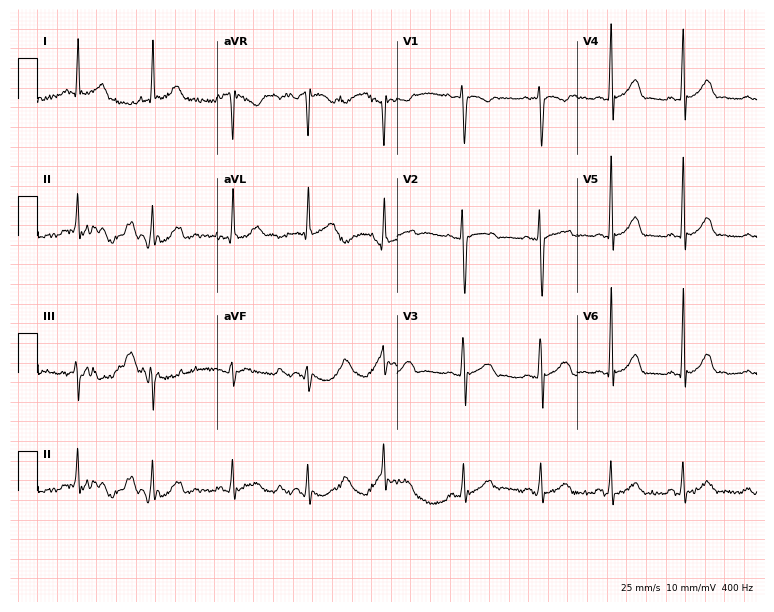
12-lead ECG from a female, 31 years old. Recorded interpretation: within normal limits.